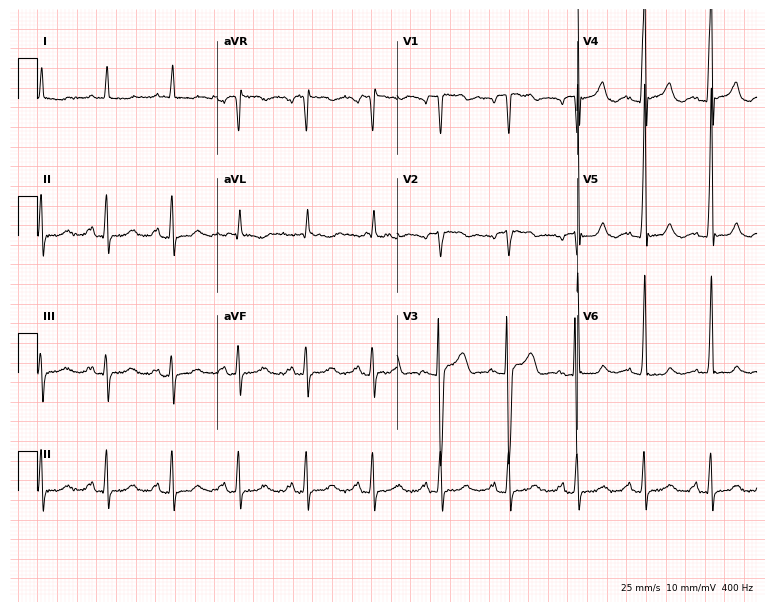
Electrocardiogram (7.3-second recording at 400 Hz), a female patient, 74 years old. Of the six screened findings (first-degree AV block, right bundle branch block, left bundle branch block, sinus bradycardia, atrial fibrillation, sinus tachycardia), none is recorded.